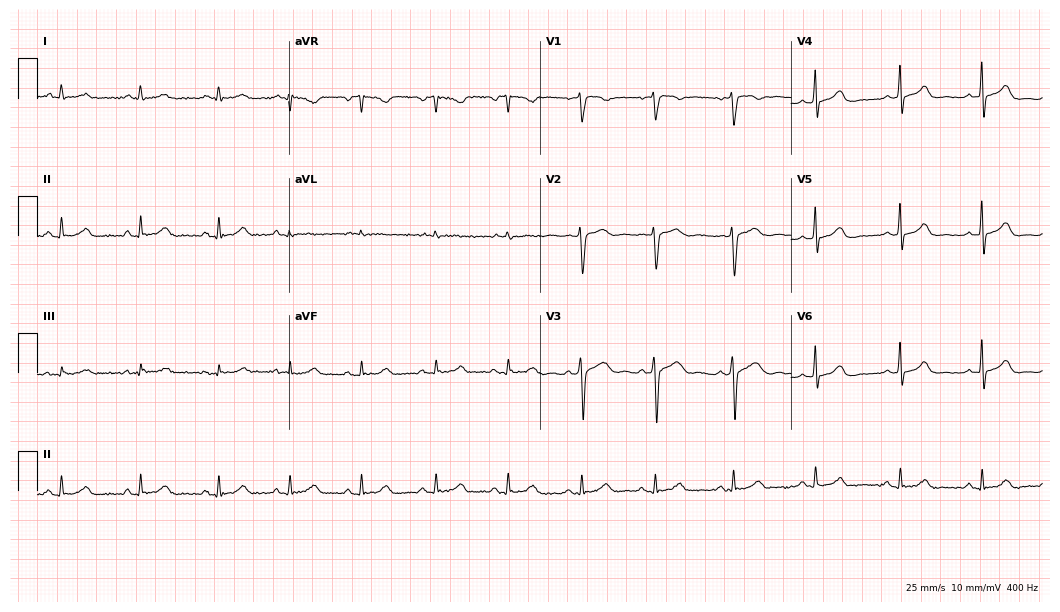
Standard 12-lead ECG recorded from a 38-year-old female (10.2-second recording at 400 Hz). Read as a normal ECG.